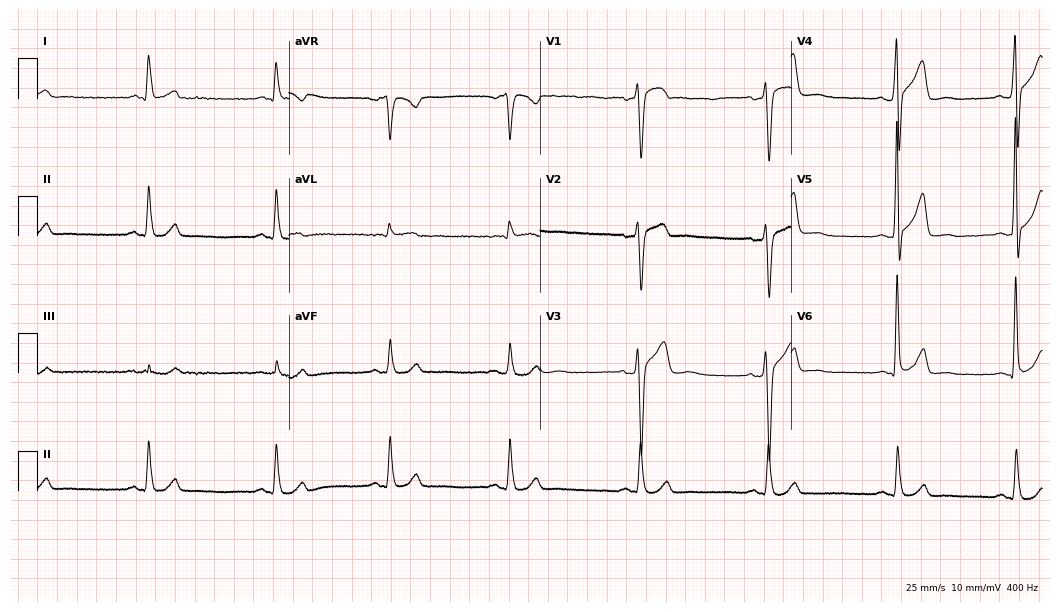
Resting 12-lead electrocardiogram. Patient: a 48-year-old male. The tracing shows sinus bradycardia (a sinus rate of 50 beats per minute or less).